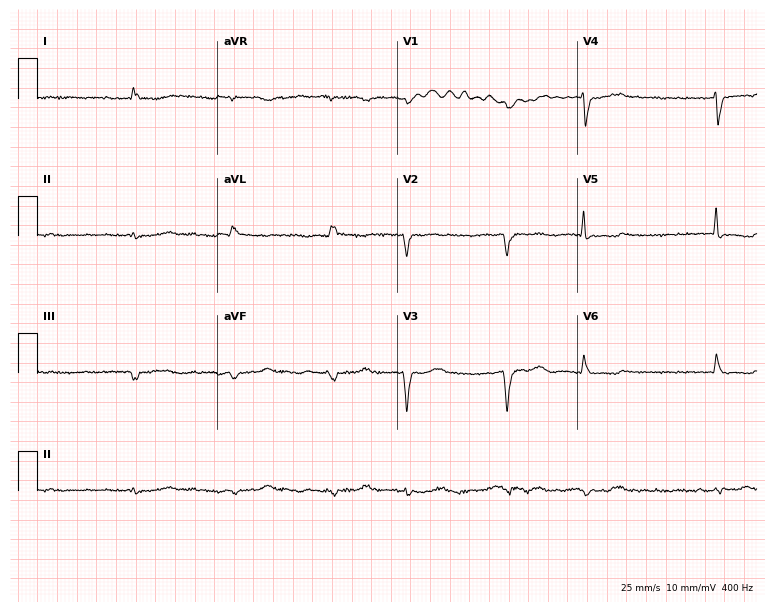
12-lead ECG from a female, 78 years old (7.3-second recording at 400 Hz). No first-degree AV block, right bundle branch block, left bundle branch block, sinus bradycardia, atrial fibrillation or sinus tachycardia recorded for this tracing.